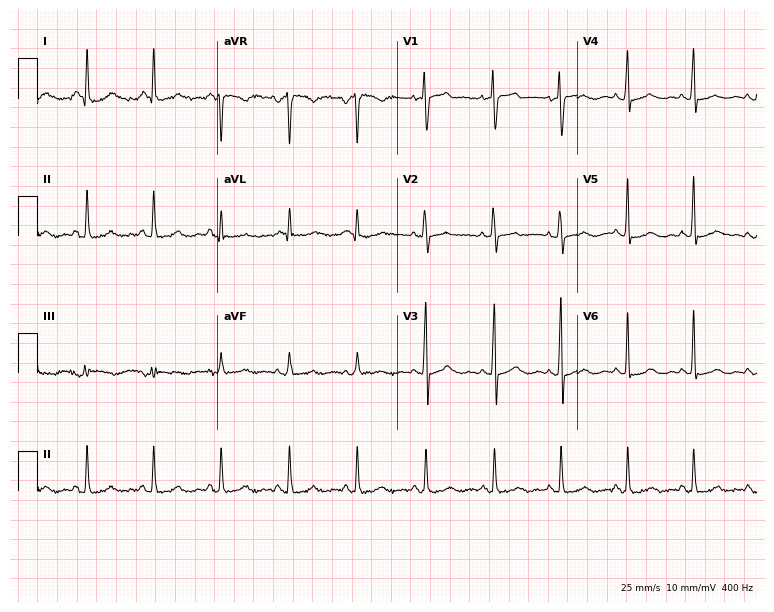
12-lead ECG from a 60-year-old male patient (7.3-second recording at 400 Hz). Recorded interpretation: within normal limits.